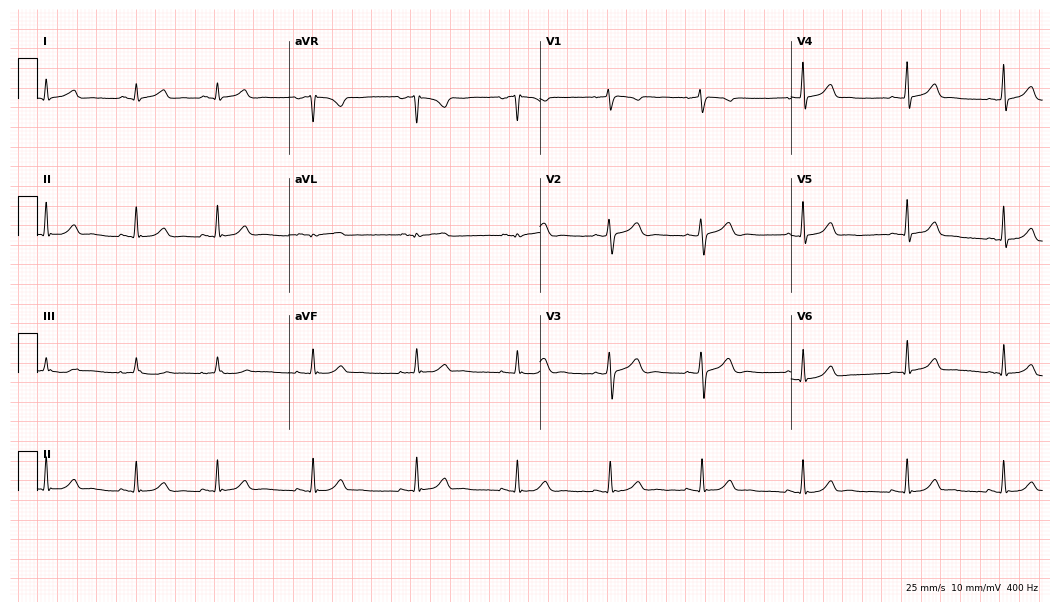
ECG — a female patient, 19 years old. Labelled as a normal ECG.